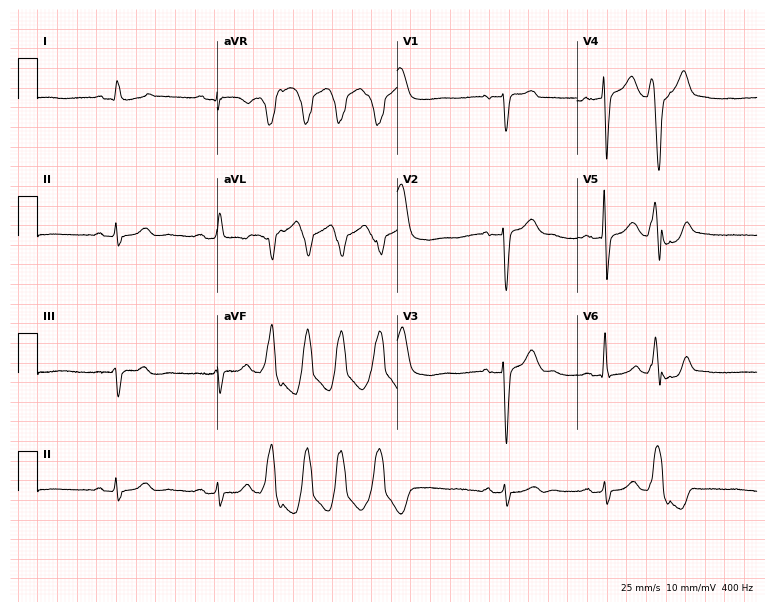
12-lead ECG from a 76-year-old man. Screened for six findings — first-degree AV block, right bundle branch block, left bundle branch block, sinus bradycardia, atrial fibrillation, sinus tachycardia — none is recorded. Only these six findings were labelled.